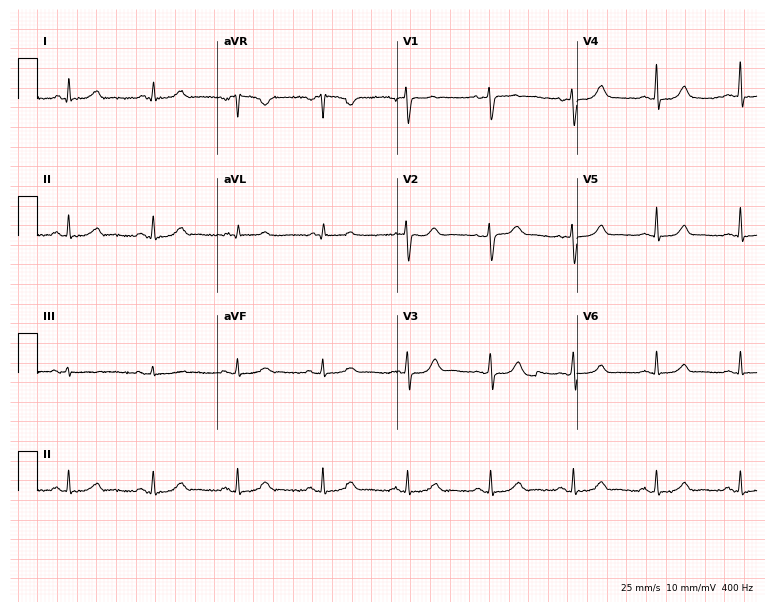
12-lead ECG (7.3-second recording at 400 Hz) from a woman, 52 years old. Labelled as a normal ECG.